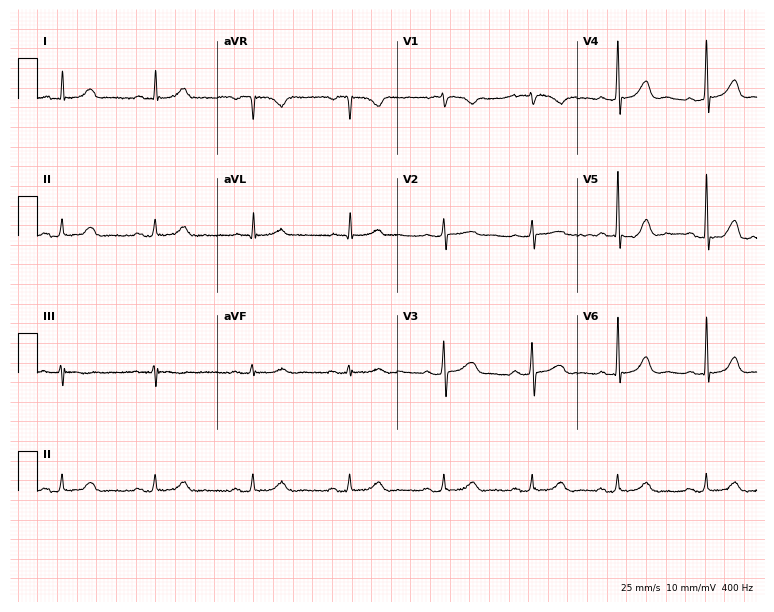
Standard 12-lead ECG recorded from a 67-year-old woman. Read as a normal ECG.